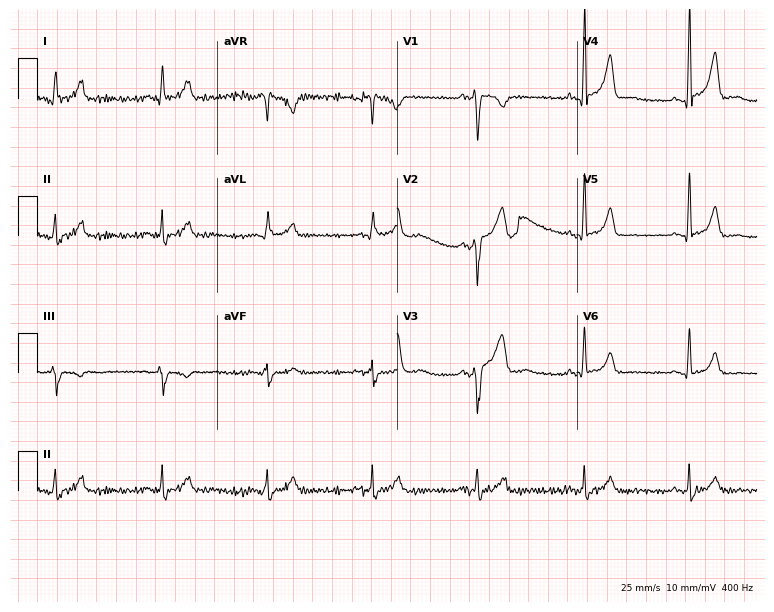
Standard 12-lead ECG recorded from a man, 30 years old. Read as a normal ECG.